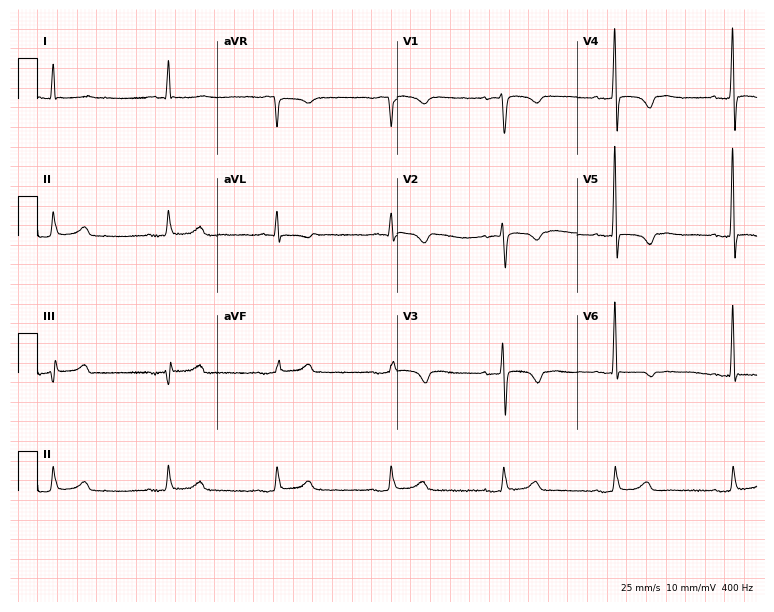
Resting 12-lead electrocardiogram. Patient: a female, 82 years old. None of these six findings is recorded: first-degree AV block, right bundle branch block, left bundle branch block, sinus bradycardia, atrial fibrillation, sinus tachycardia. Other findings, if any, are not listed.